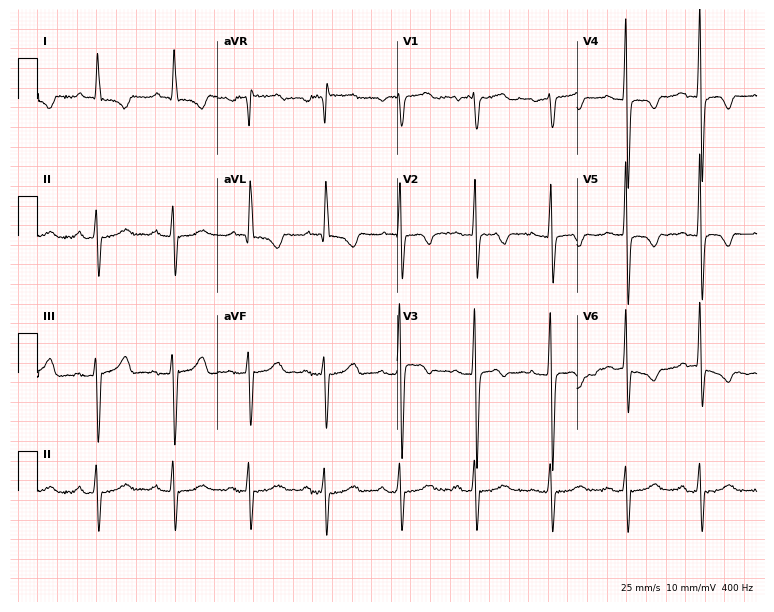
12-lead ECG from a 68-year-old woman. No first-degree AV block, right bundle branch block (RBBB), left bundle branch block (LBBB), sinus bradycardia, atrial fibrillation (AF) or sinus tachycardia recorded for this tracing. Other findings, if any, are not listed.